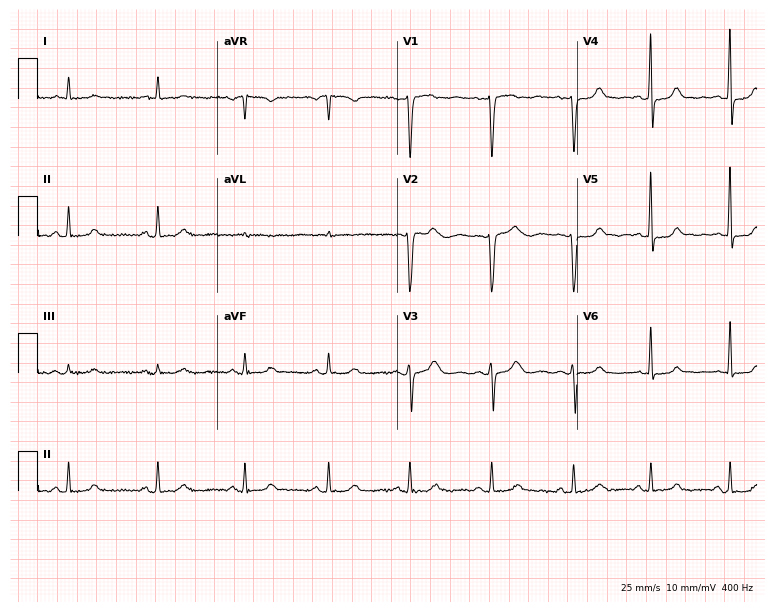
Electrocardiogram (7.3-second recording at 400 Hz), a female, 55 years old. Overall reading on record: normal ECG.